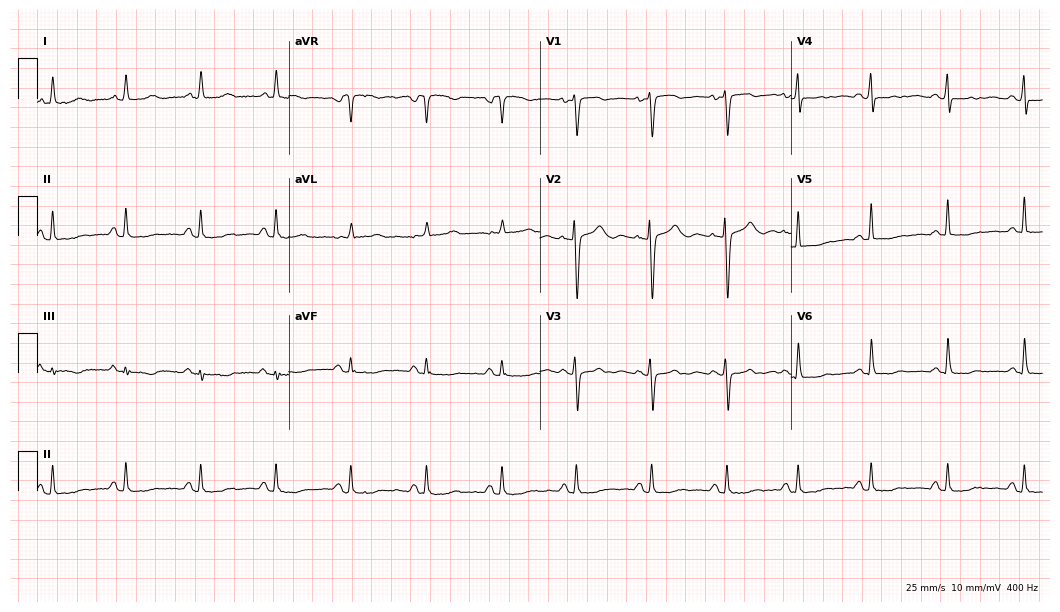
12-lead ECG from a 38-year-old woman. No first-degree AV block, right bundle branch block, left bundle branch block, sinus bradycardia, atrial fibrillation or sinus tachycardia recorded for this tracing.